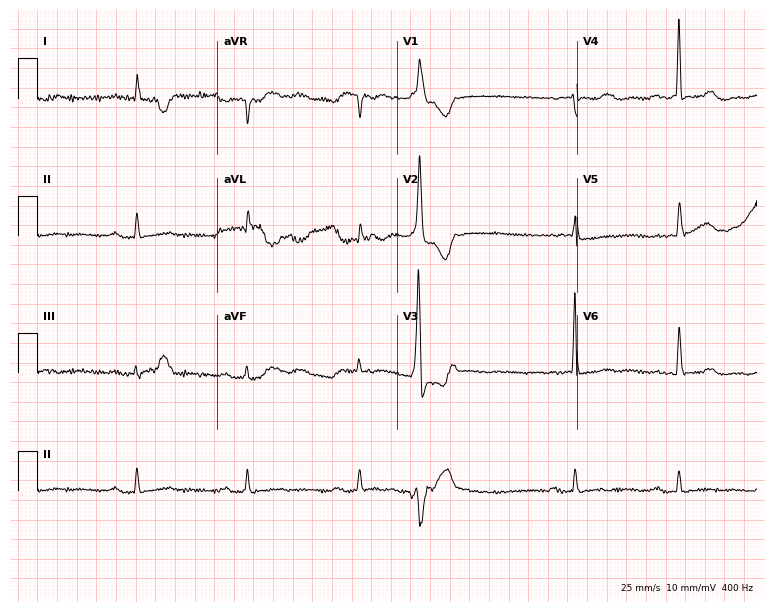
Standard 12-lead ECG recorded from a male, 85 years old (7.3-second recording at 400 Hz). None of these six findings is recorded: first-degree AV block, right bundle branch block (RBBB), left bundle branch block (LBBB), sinus bradycardia, atrial fibrillation (AF), sinus tachycardia.